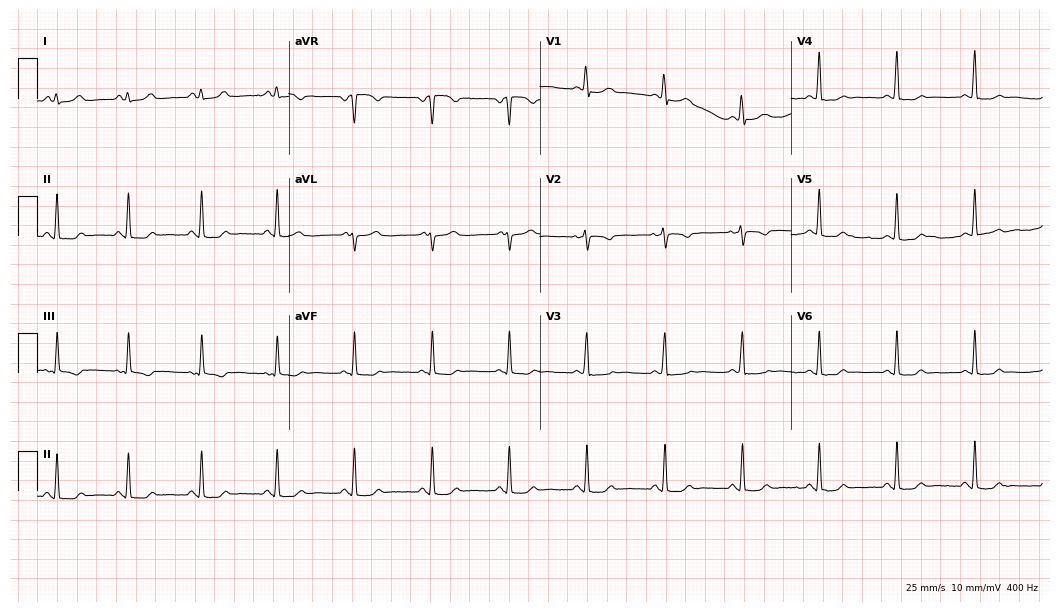
12-lead ECG (10.2-second recording at 400 Hz) from a 17-year-old female patient. Screened for six findings — first-degree AV block, right bundle branch block, left bundle branch block, sinus bradycardia, atrial fibrillation, sinus tachycardia — none is recorded. Only these six findings were labelled.